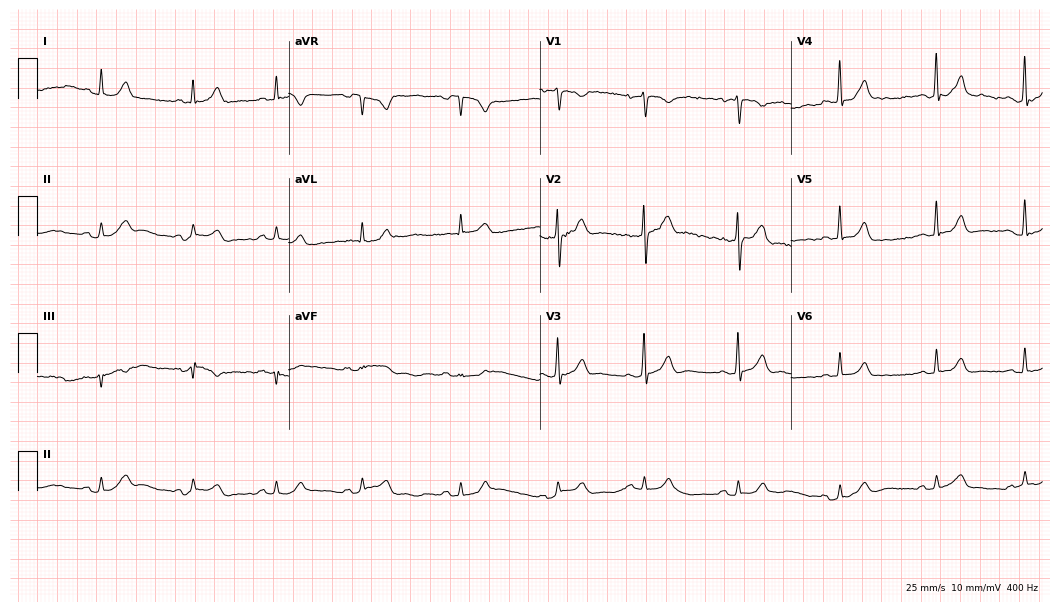
12-lead ECG from a 40-year-old male. Recorded interpretation: within normal limits.